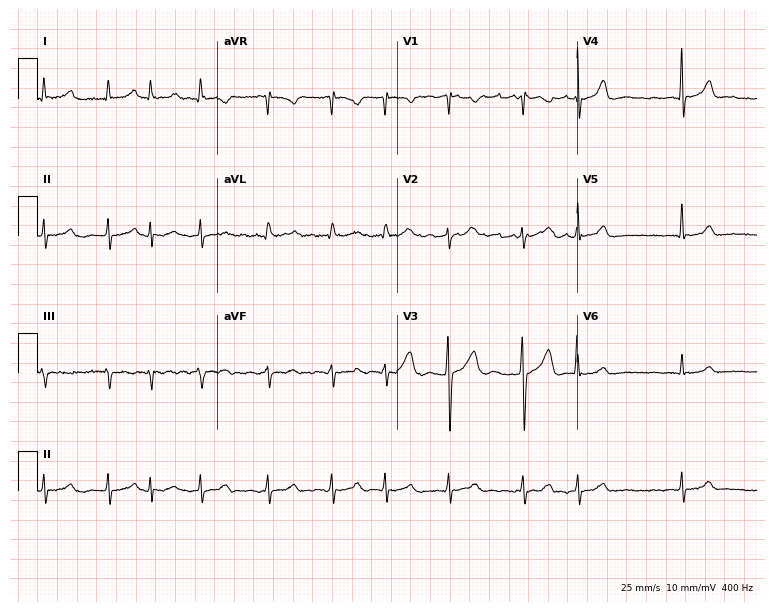
Electrocardiogram, an 81-year-old man. Interpretation includes atrial fibrillation (AF).